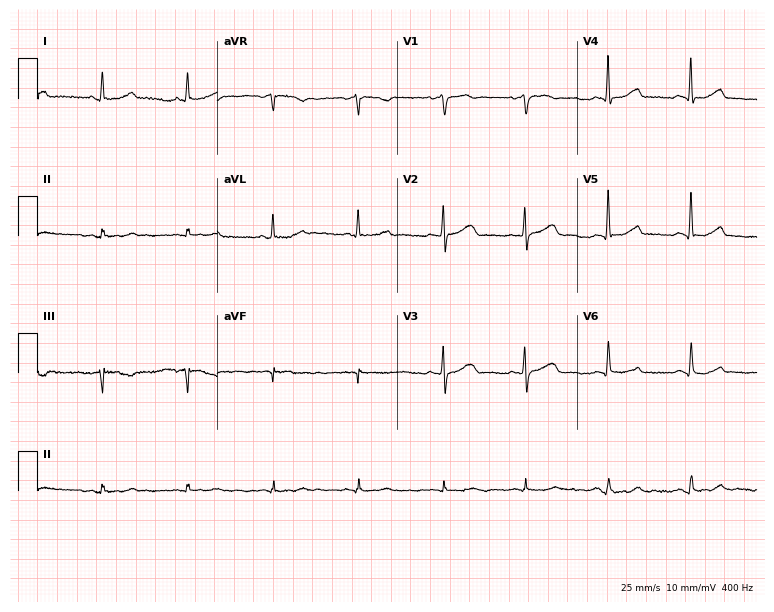
Resting 12-lead electrocardiogram (7.3-second recording at 400 Hz). Patient: an 83-year-old woman. None of these six findings is recorded: first-degree AV block, right bundle branch block, left bundle branch block, sinus bradycardia, atrial fibrillation, sinus tachycardia.